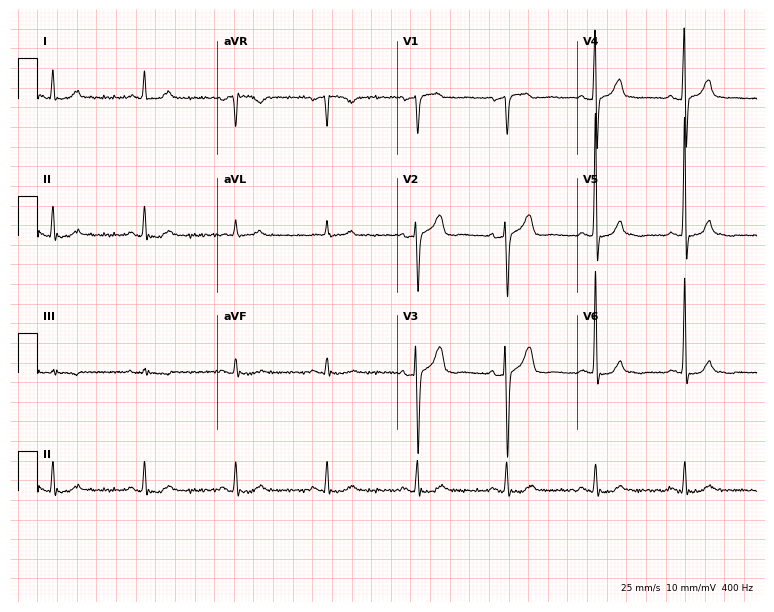
Electrocardiogram (7.3-second recording at 400 Hz), a male patient, 65 years old. Overall reading on record: normal ECG.